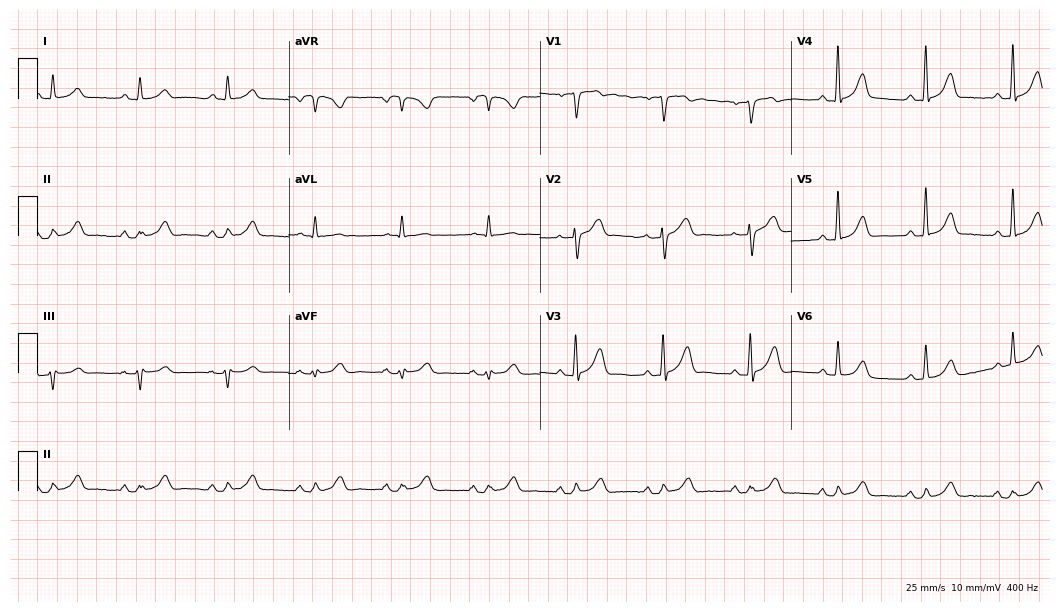
Standard 12-lead ECG recorded from an 85-year-old male patient. Read as a normal ECG.